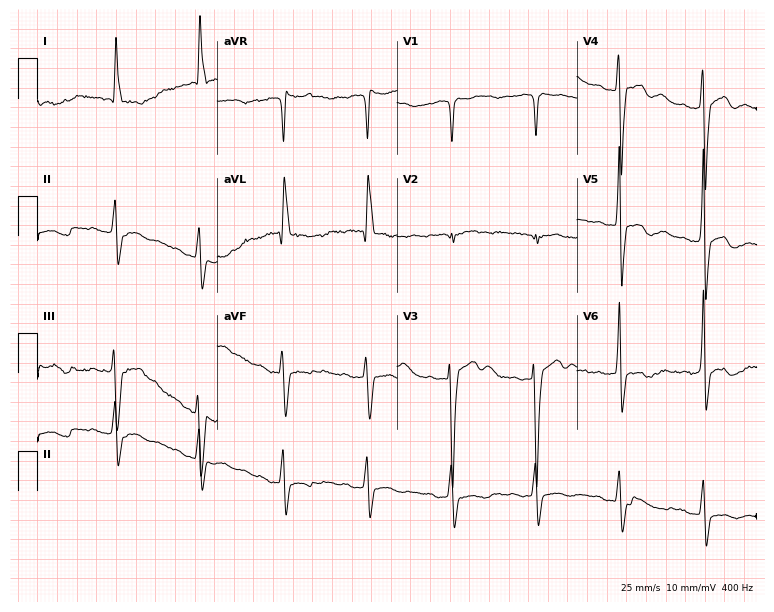
ECG — a woman, 84 years old. Screened for six findings — first-degree AV block, right bundle branch block, left bundle branch block, sinus bradycardia, atrial fibrillation, sinus tachycardia — none is recorded. Other findings, if any, are not listed.